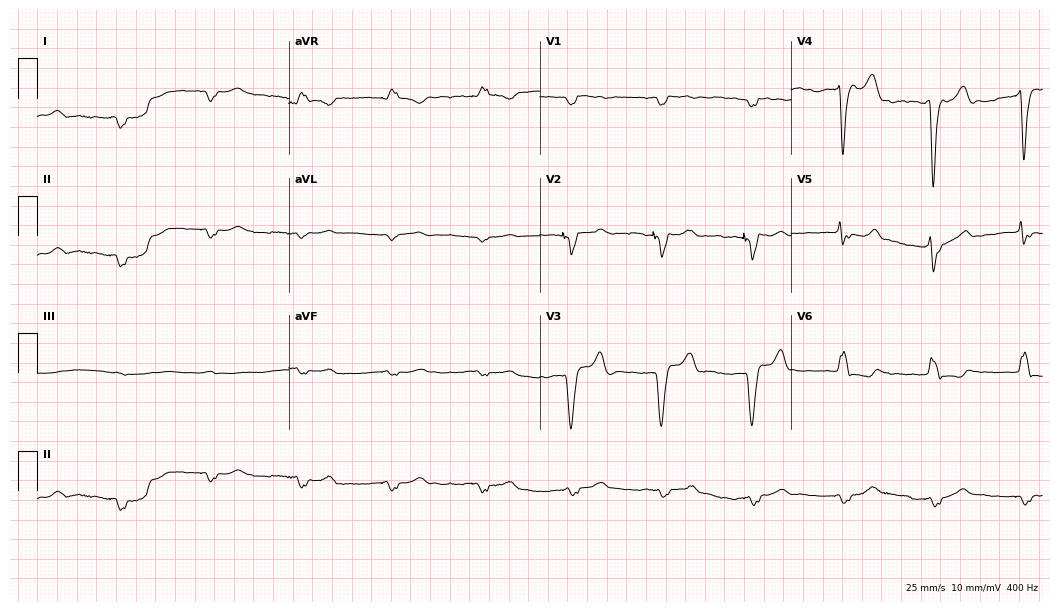
12-lead ECG from a male, 84 years old (10.2-second recording at 400 Hz). No first-degree AV block, right bundle branch block (RBBB), left bundle branch block (LBBB), sinus bradycardia, atrial fibrillation (AF) or sinus tachycardia recorded for this tracing. Only these six findings were labelled.